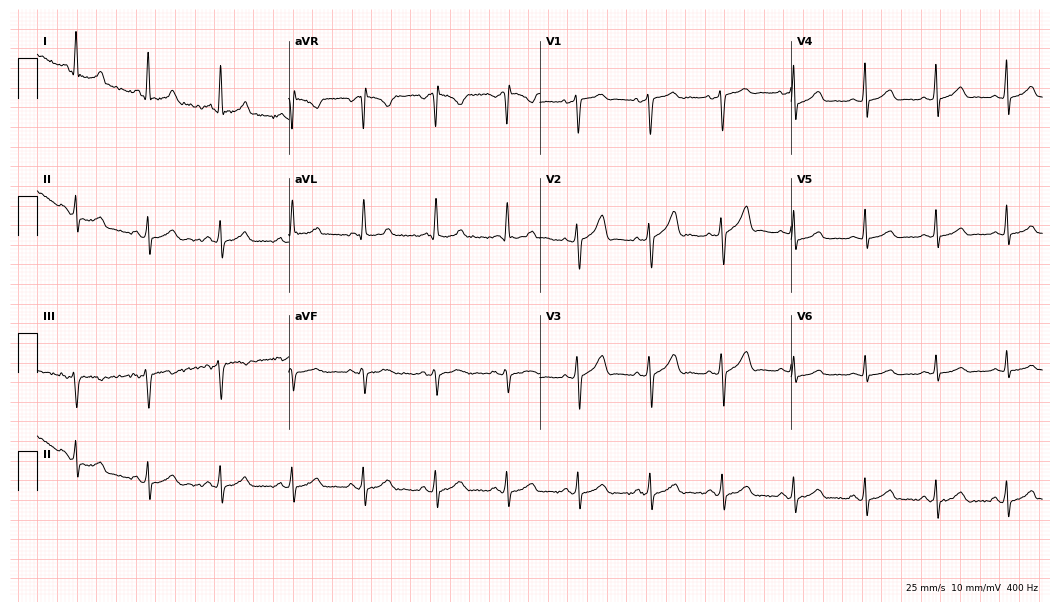
12-lead ECG from a 48-year-old woman. Labelled as a normal ECG.